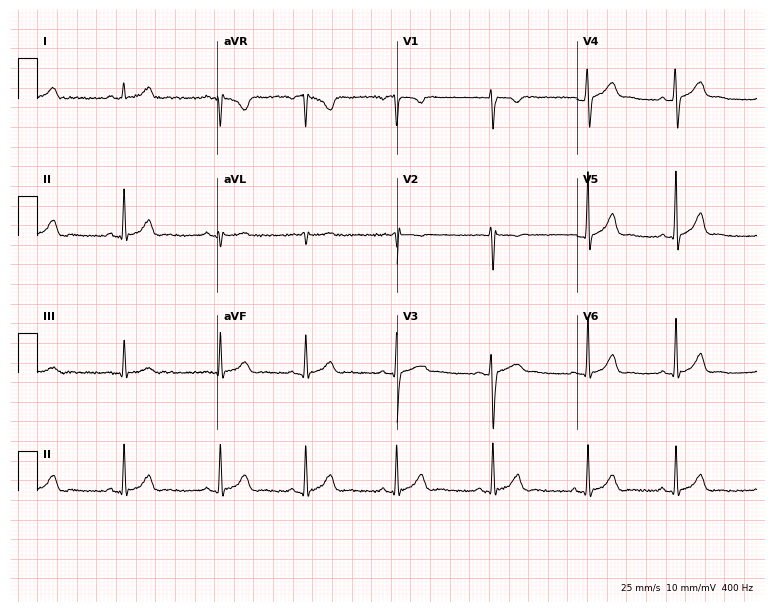
Standard 12-lead ECG recorded from a woman, 20 years old. Read as a normal ECG.